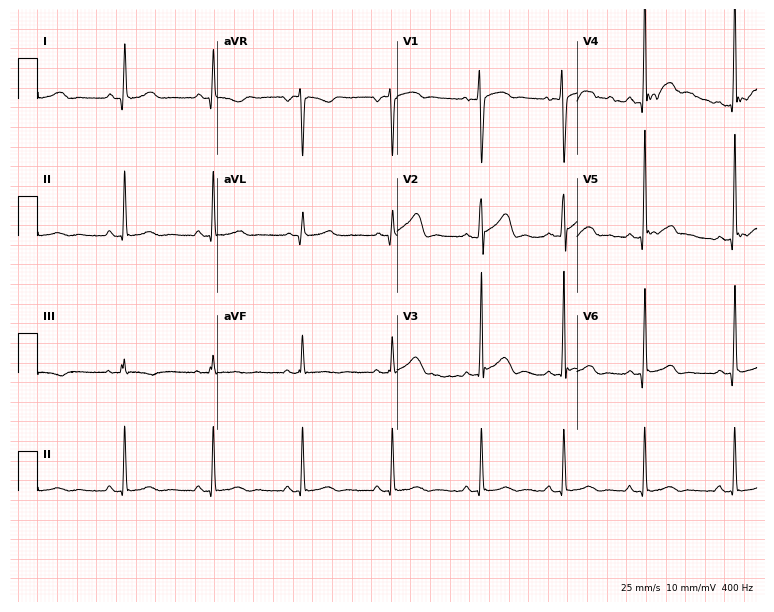
ECG (7.3-second recording at 400 Hz) — a male, 44 years old. Labelled as a normal ECG.